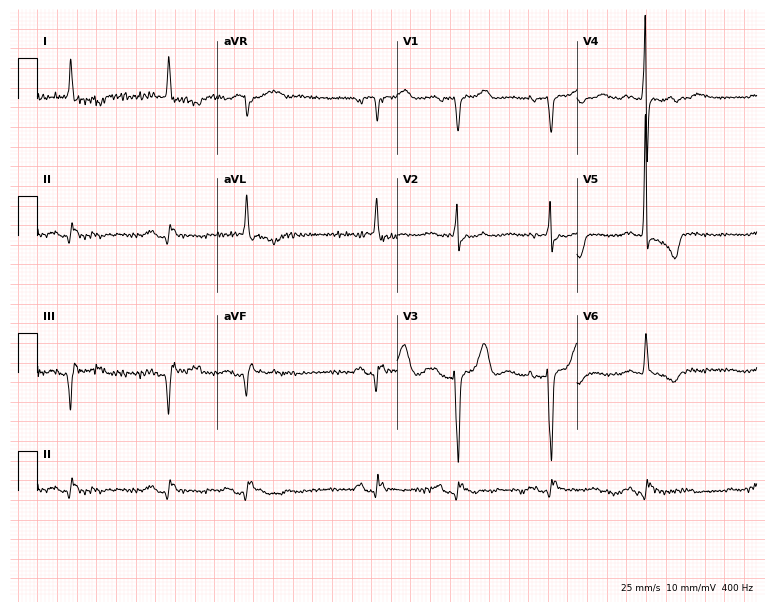
ECG — a woman, 77 years old. Screened for six findings — first-degree AV block, right bundle branch block, left bundle branch block, sinus bradycardia, atrial fibrillation, sinus tachycardia — none is recorded.